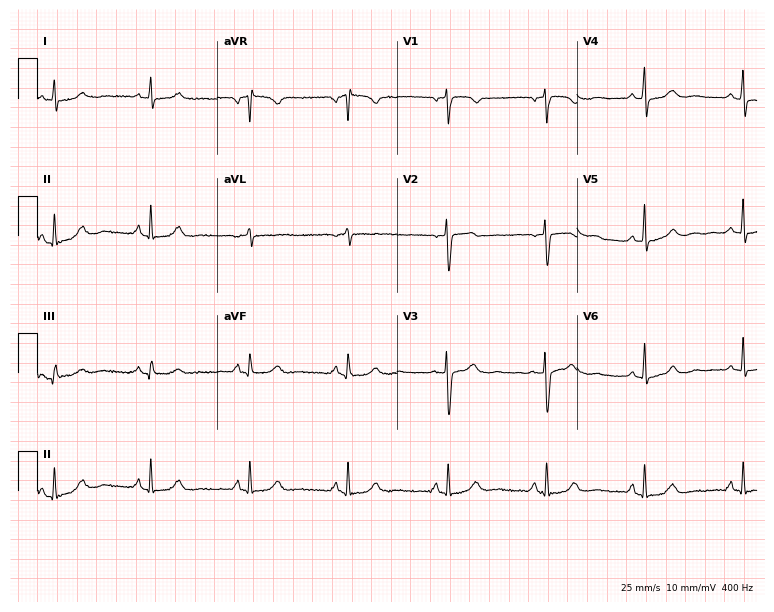
ECG (7.3-second recording at 400 Hz) — a female patient, 60 years old. Labelled as a normal ECG.